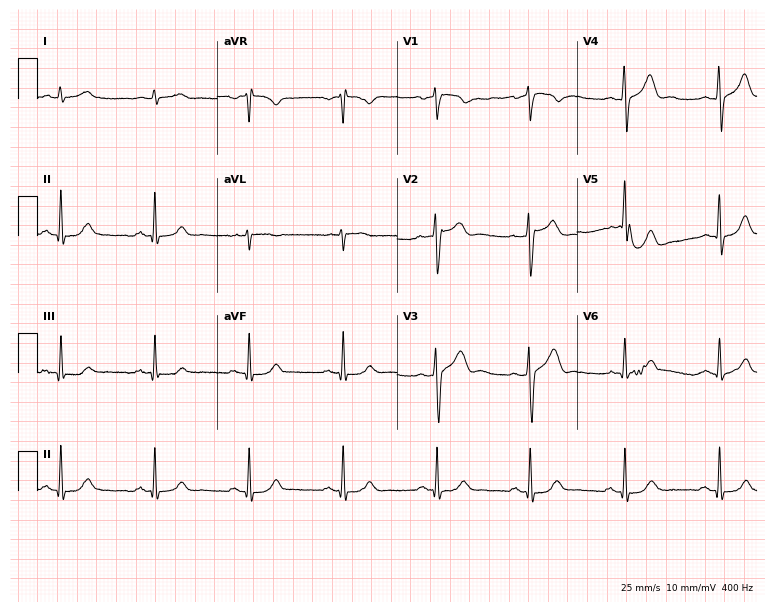
12-lead ECG (7.3-second recording at 400 Hz) from a 59-year-old male patient. Labelled as a normal ECG.